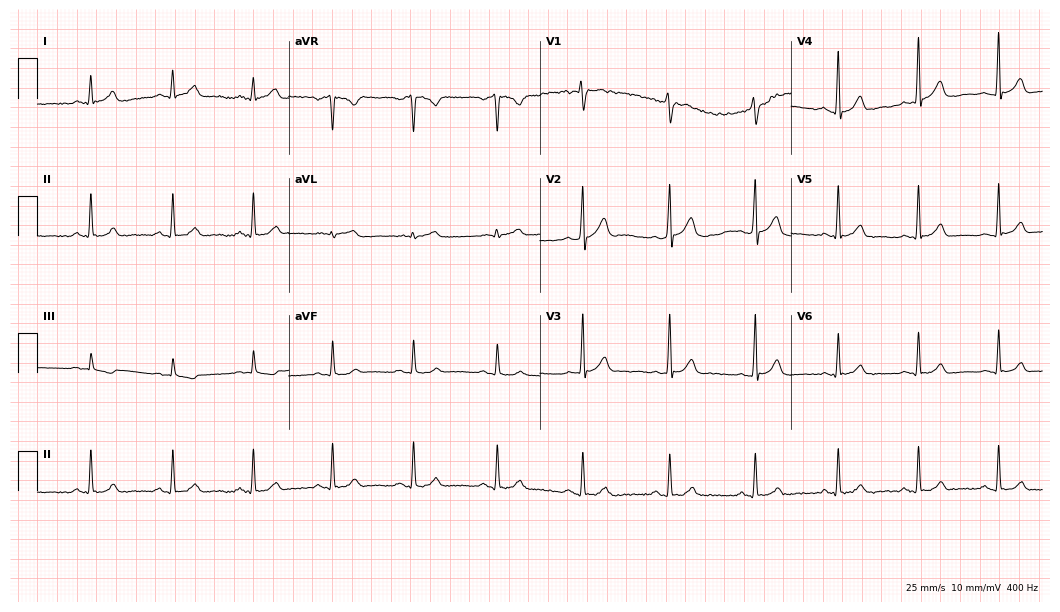
12-lead ECG (10.2-second recording at 400 Hz) from a 33-year-old male patient. Labelled as a normal ECG.